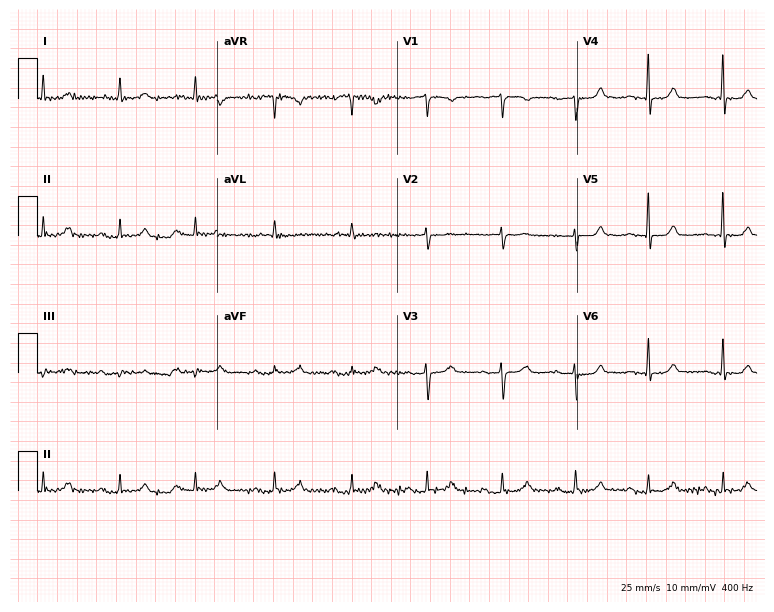
12-lead ECG from a 74-year-old female patient. Labelled as a normal ECG.